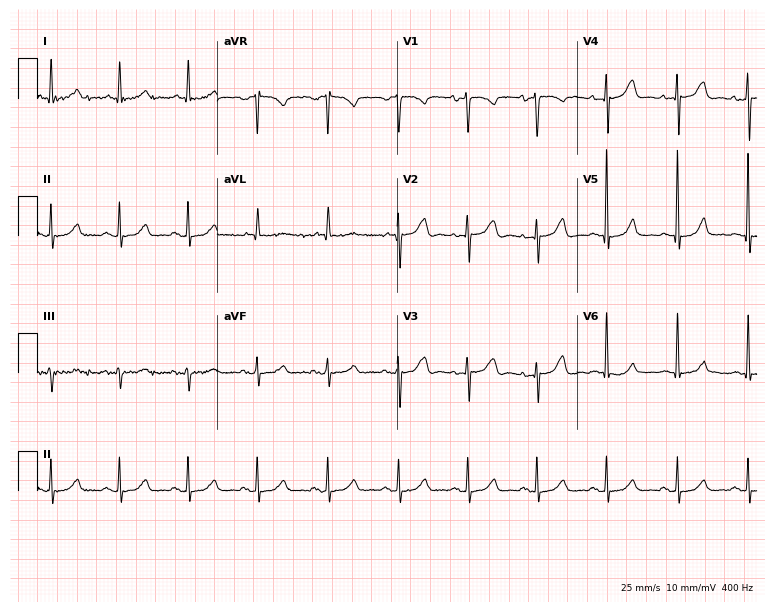
Resting 12-lead electrocardiogram. Patient: an 83-year-old female. Read as a normal ECG.